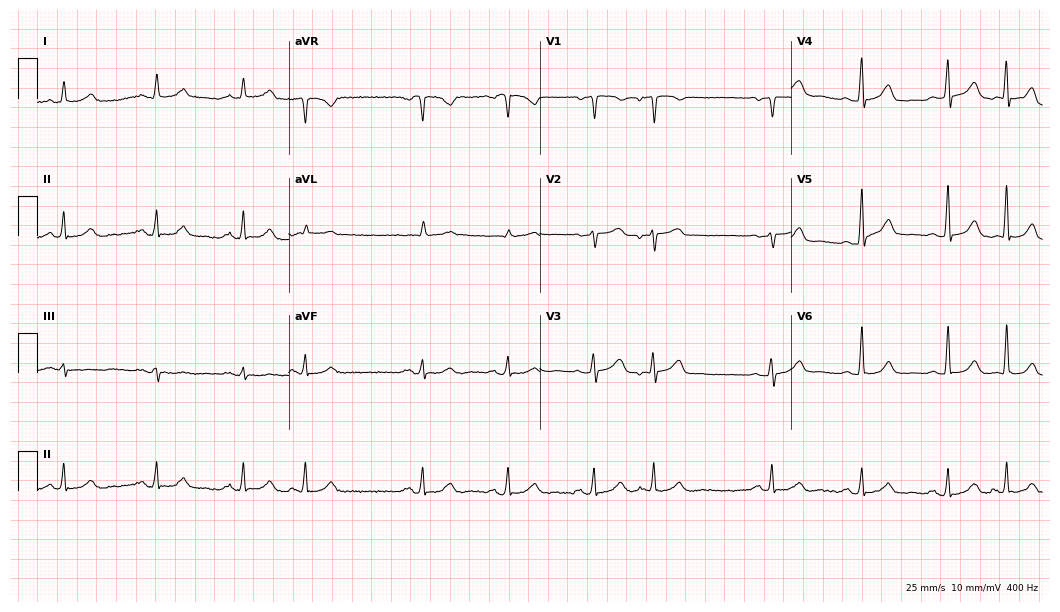
12-lead ECG from a 43-year-old woman. No first-degree AV block, right bundle branch block (RBBB), left bundle branch block (LBBB), sinus bradycardia, atrial fibrillation (AF) or sinus tachycardia recorded for this tracing. Findings outside these six are not listed.